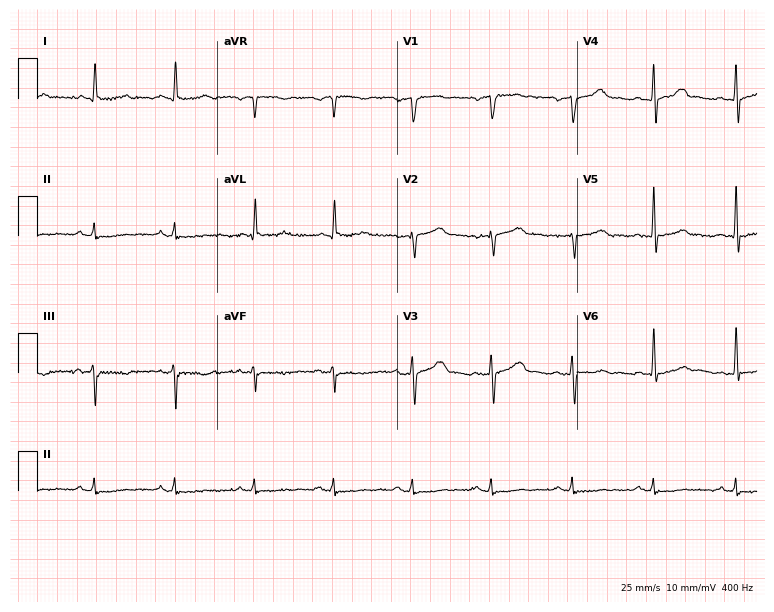
12-lead ECG (7.3-second recording at 400 Hz) from a 58-year-old male patient. Screened for six findings — first-degree AV block, right bundle branch block (RBBB), left bundle branch block (LBBB), sinus bradycardia, atrial fibrillation (AF), sinus tachycardia — none is recorded. Other findings, if any, are not listed.